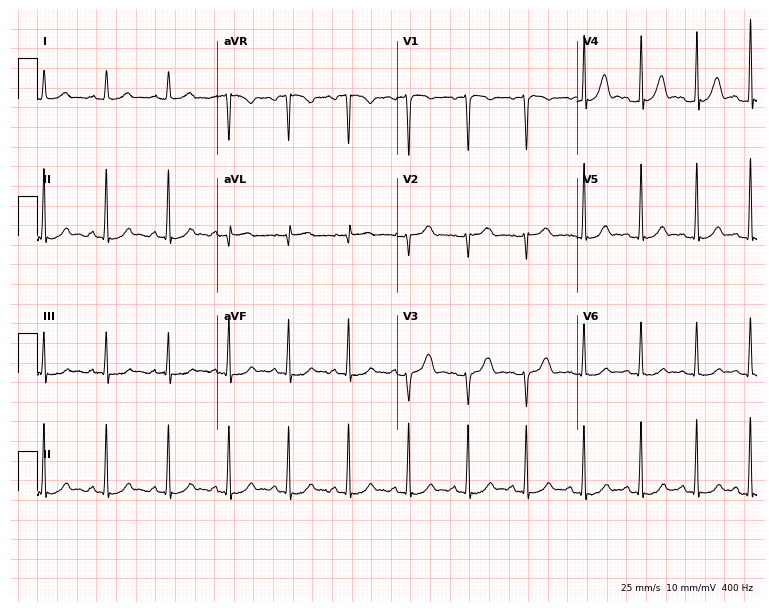
Electrocardiogram, a male, 19 years old. Of the six screened findings (first-degree AV block, right bundle branch block, left bundle branch block, sinus bradycardia, atrial fibrillation, sinus tachycardia), none is recorded. Only these six findings were labelled.